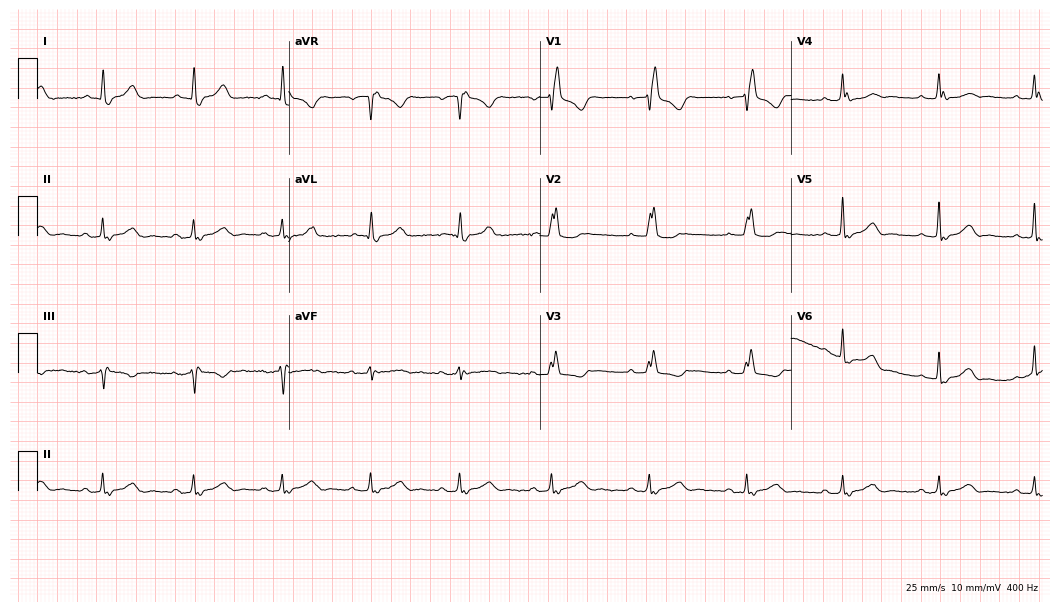
12-lead ECG from a female patient, 80 years old. Findings include right bundle branch block.